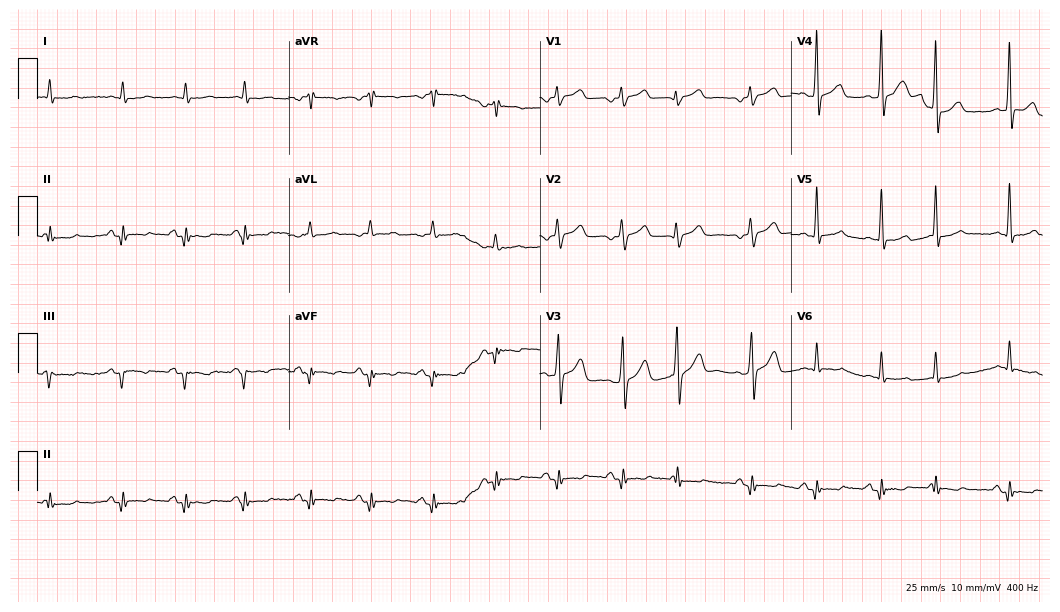
Electrocardiogram (10.2-second recording at 400 Hz), a 52-year-old male. Of the six screened findings (first-degree AV block, right bundle branch block (RBBB), left bundle branch block (LBBB), sinus bradycardia, atrial fibrillation (AF), sinus tachycardia), none is recorded.